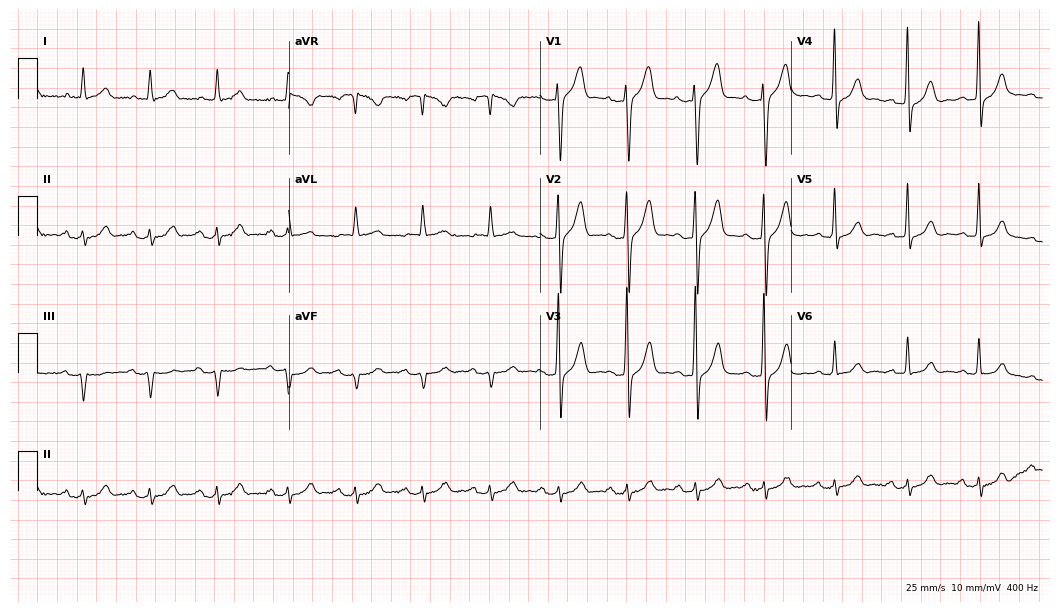
Resting 12-lead electrocardiogram. Patient: a 64-year-old male. Read as a normal ECG.